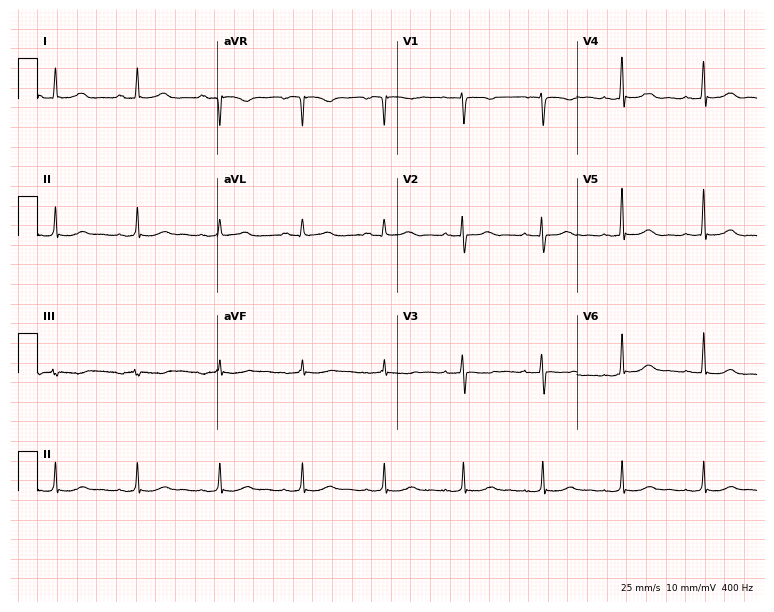
Resting 12-lead electrocardiogram (7.3-second recording at 400 Hz). Patient: a female, 49 years old. None of these six findings is recorded: first-degree AV block, right bundle branch block (RBBB), left bundle branch block (LBBB), sinus bradycardia, atrial fibrillation (AF), sinus tachycardia. Only these six findings were labelled.